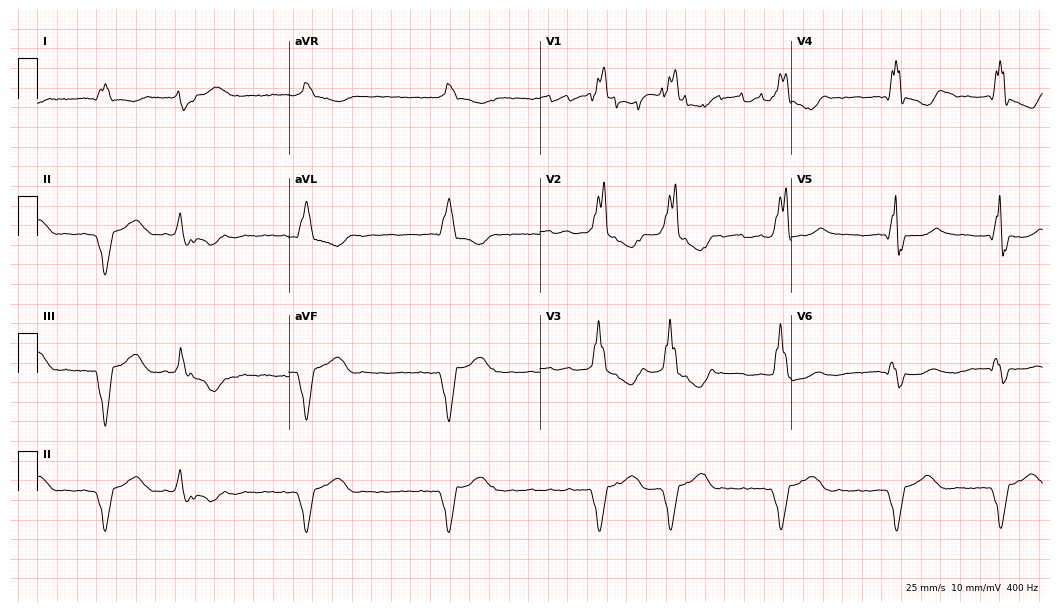
ECG — a 75-year-old male patient. Screened for six findings — first-degree AV block, right bundle branch block (RBBB), left bundle branch block (LBBB), sinus bradycardia, atrial fibrillation (AF), sinus tachycardia — none is recorded. Other findings, if any, are not listed.